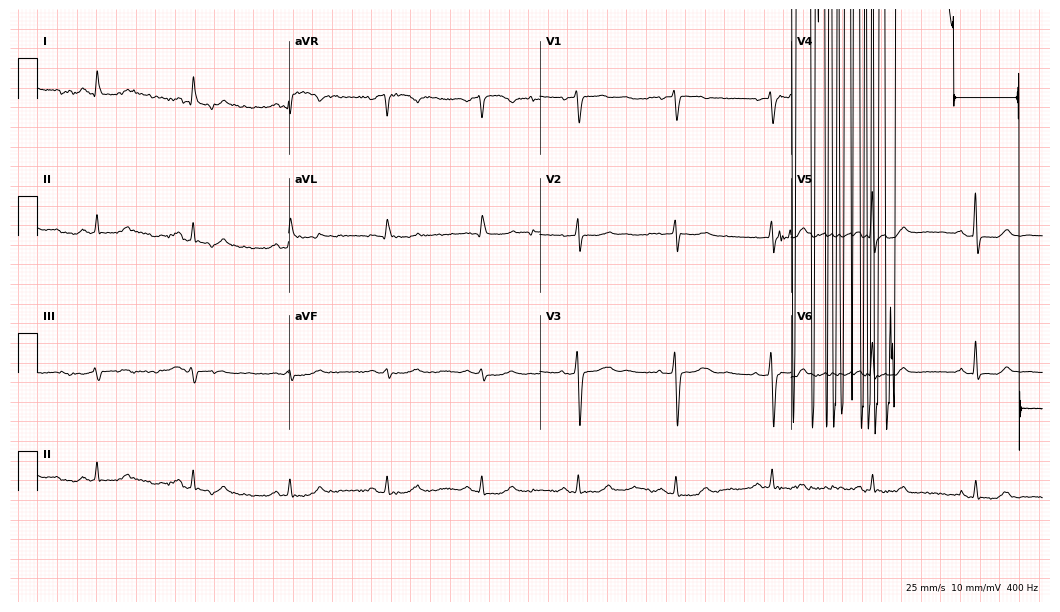
Electrocardiogram, a 68-year-old female. Of the six screened findings (first-degree AV block, right bundle branch block, left bundle branch block, sinus bradycardia, atrial fibrillation, sinus tachycardia), none is recorded. Findings outside these six are not listed.